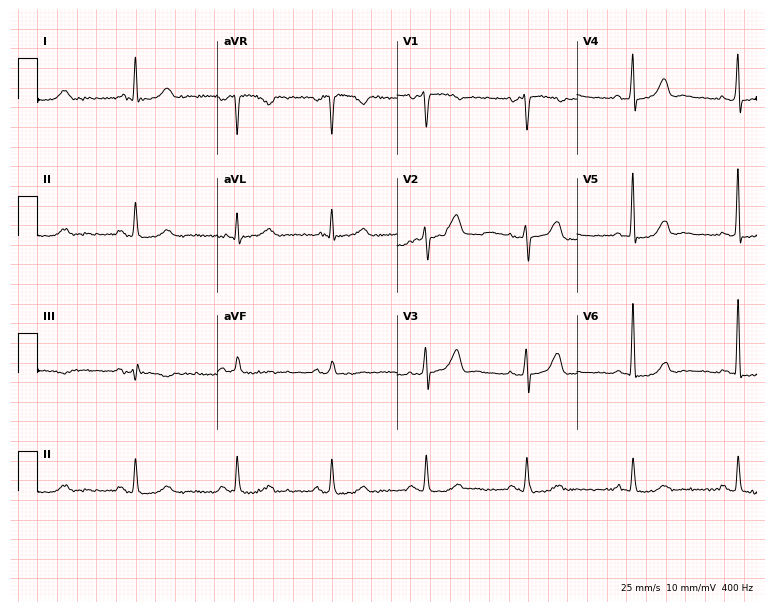
Standard 12-lead ECG recorded from a male patient, 68 years old. None of these six findings is recorded: first-degree AV block, right bundle branch block, left bundle branch block, sinus bradycardia, atrial fibrillation, sinus tachycardia.